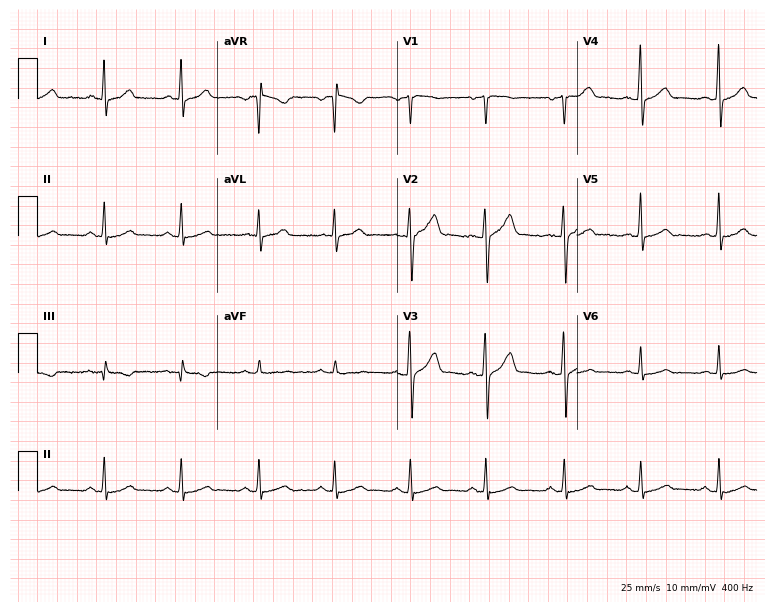
ECG — a 41-year-old male. Labelled as a normal ECG.